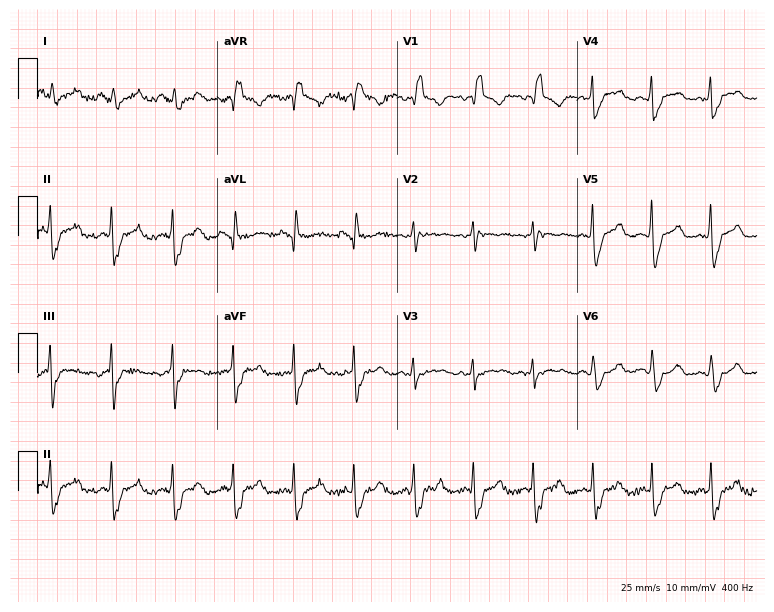
12-lead ECG from a 77-year-old male. Findings include right bundle branch block (RBBB).